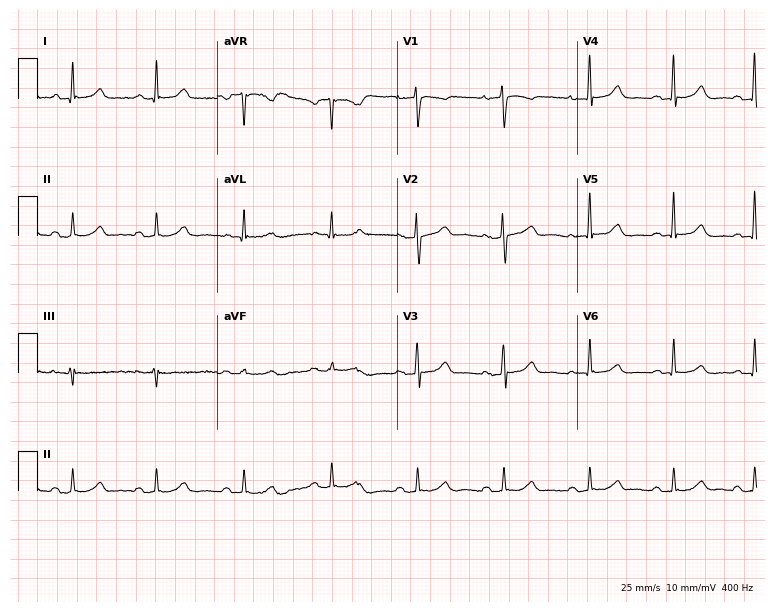
Standard 12-lead ECG recorded from a woman, 35 years old (7.3-second recording at 400 Hz). None of these six findings is recorded: first-degree AV block, right bundle branch block, left bundle branch block, sinus bradycardia, atrial fibrillation, sinus tachycardia. Only these six findings were labelled.